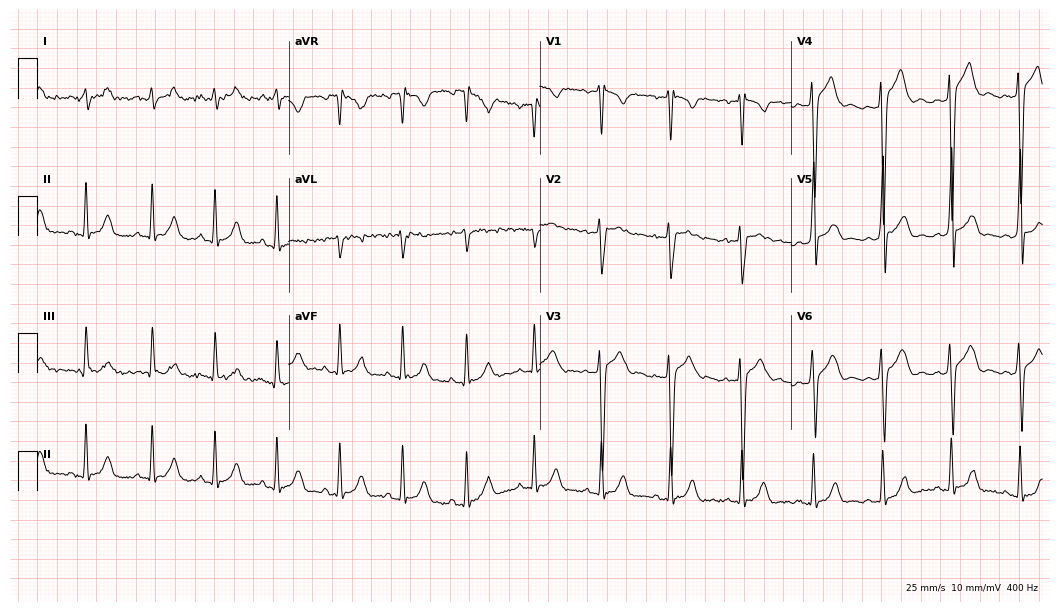
12-lead ECG from a 19-year-old man. Labelled as a normal ECG.